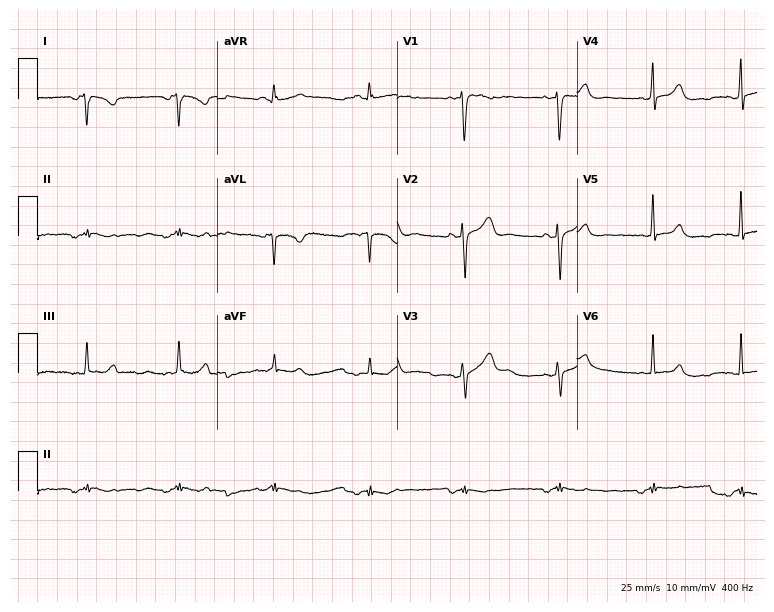
12-lead ECG (7.3-second recording at 400 Hz) from a woman, 35 years old. Screened for six findings — first-degree AV block, right bundle branch block, left bundle branch block, sinus bradycardia, atrial fibrillation, sinus tachycardia — none is recorded.